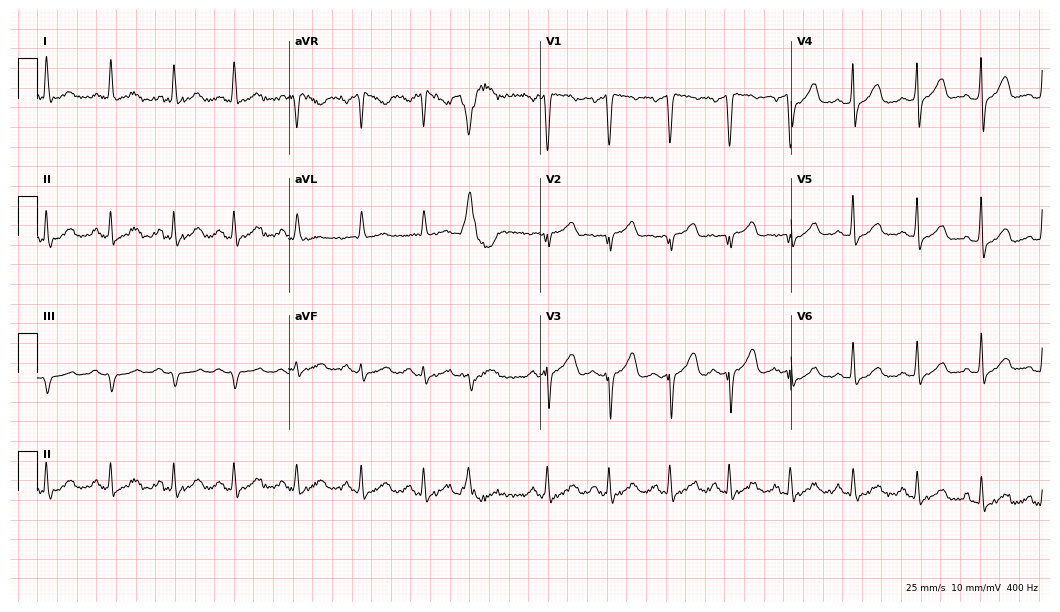
Electrocardiogram (10.2-second recording at 400 Hz), a 58-year-old female. Overall reading on record: normal ECG.